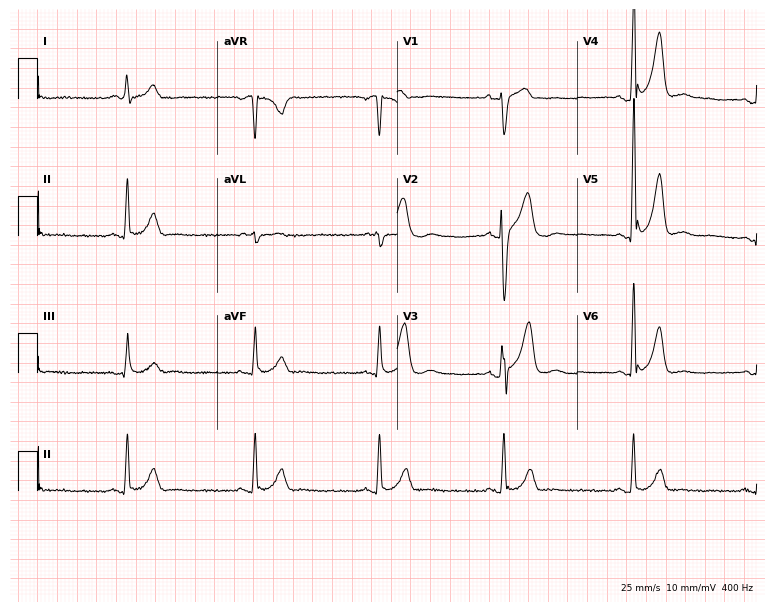
Resting 12-lead electrocardiogram (7.3-second recording at 400 Hz). Patient: a 34-year-old male. The tracing shows sinus bradycardia (a sinus rate of 50 beats per minute or less).